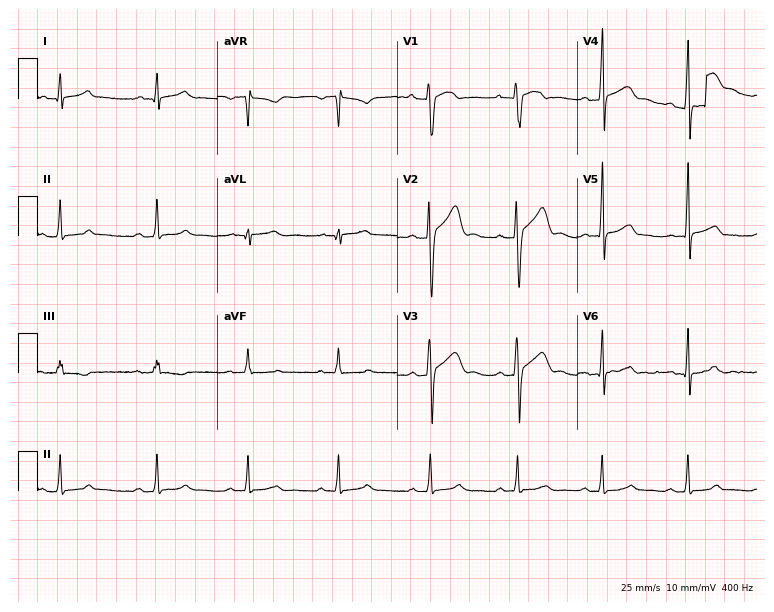
Electrocardiogram (7.3-second recording at 400 Hz), a 25-year-old male patient. Overall reading on record: normal ECG.